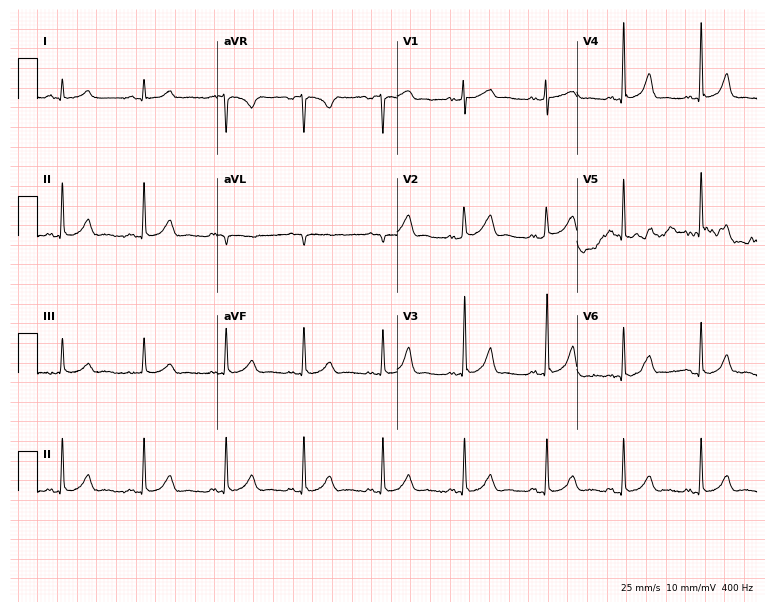
Electrocardiogram (7.3-second recording at 400 Hz), a woman, 34 years old. Overall reading on record: normal ECG.